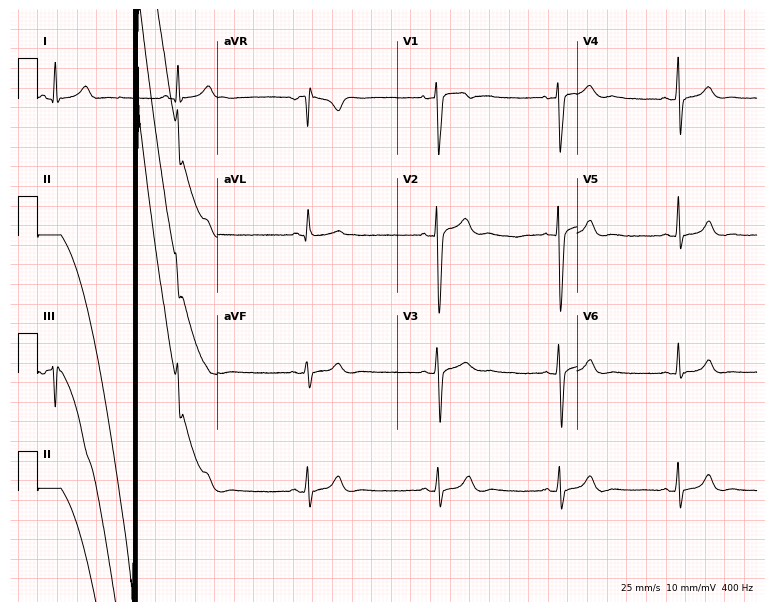
Electrocardiogram (7.3-second recording at 400 Hz), a man, 30 years old. Interpretation includes sinus bradycardia (a sinus rate of 50 beats per minute or less).